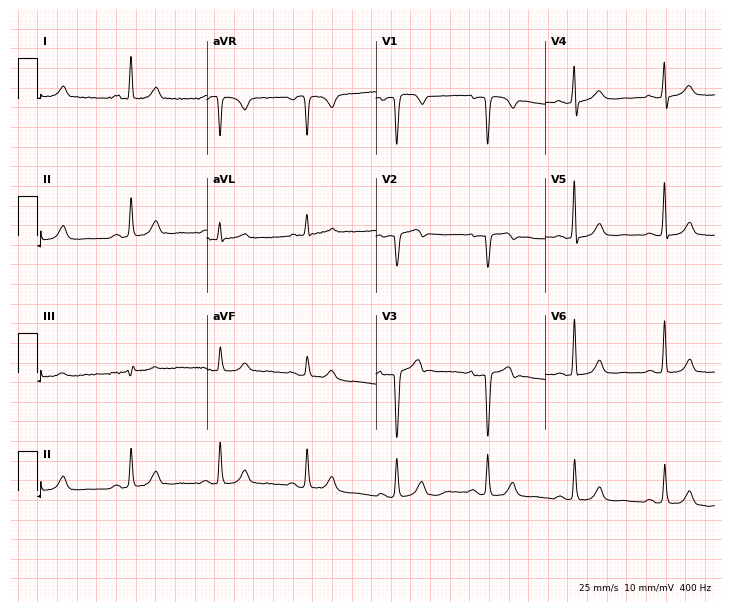
Standard 12-lead ECG recorded from a 54-year-old woman. Read as a normal ECG.